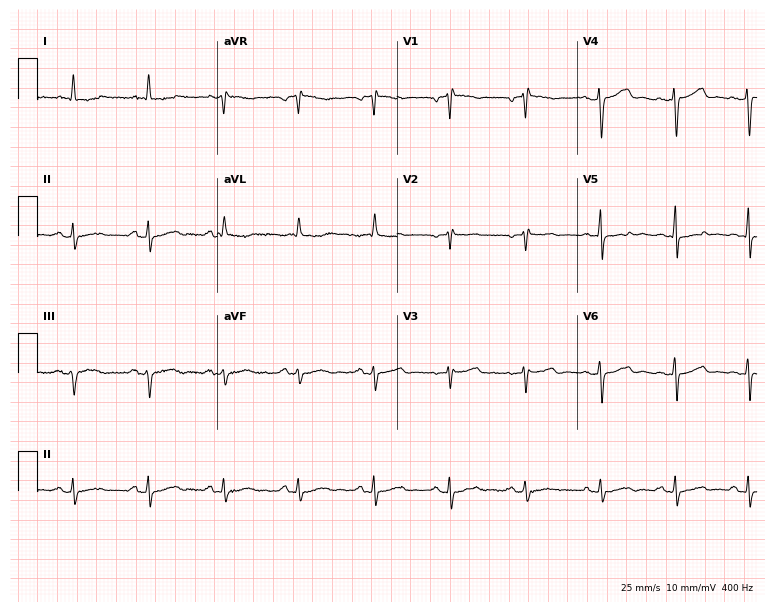
12-lead ECG from a 73-year-old female. Screened for six findings — first-degree AV block, right bundle branch block, left bundle branch block, sinus bradycardia, atrial fibrillation, sinus tachycardia — none is recorded. Findings outside these six are not listed.